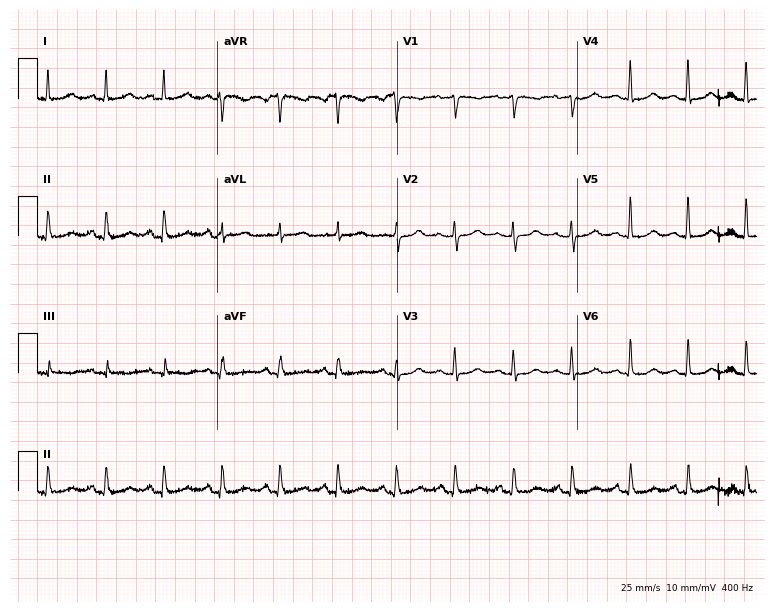
ECG (7.3-second recording at 400 Hz) — a 58-year-old female patient. Labelled as a normal ECG.